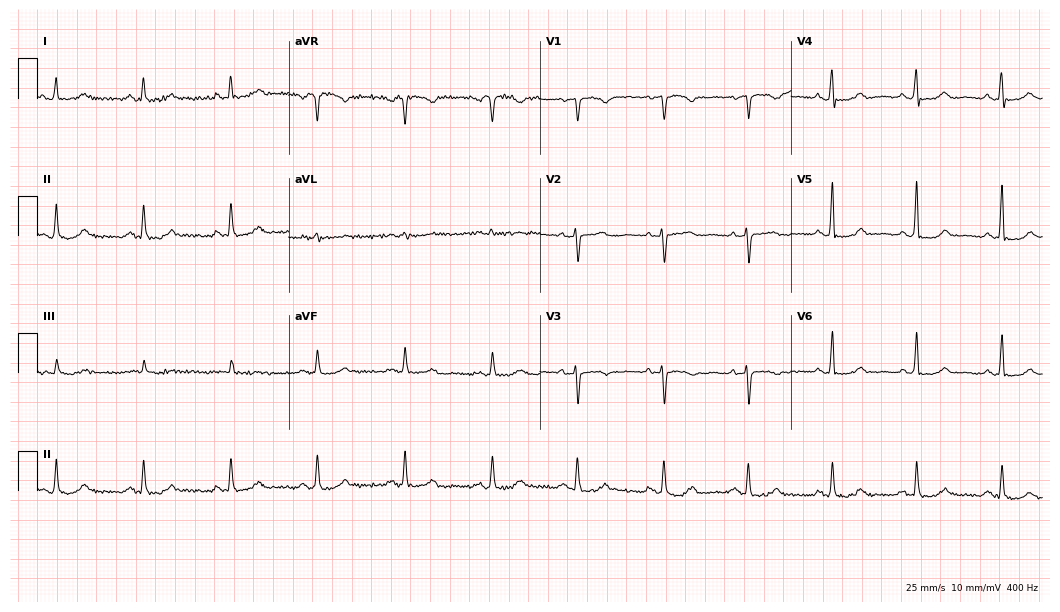
12-lead ECG from a 61-year-old female patient. No first-degree AV block, right bundle branch block (RBBB), left bundle branch block (LBBB), sinus bradycardia, atrial fibrillation (AF) or sinus tachycardia recorded for this tracing. Findings outside these six are not listed.